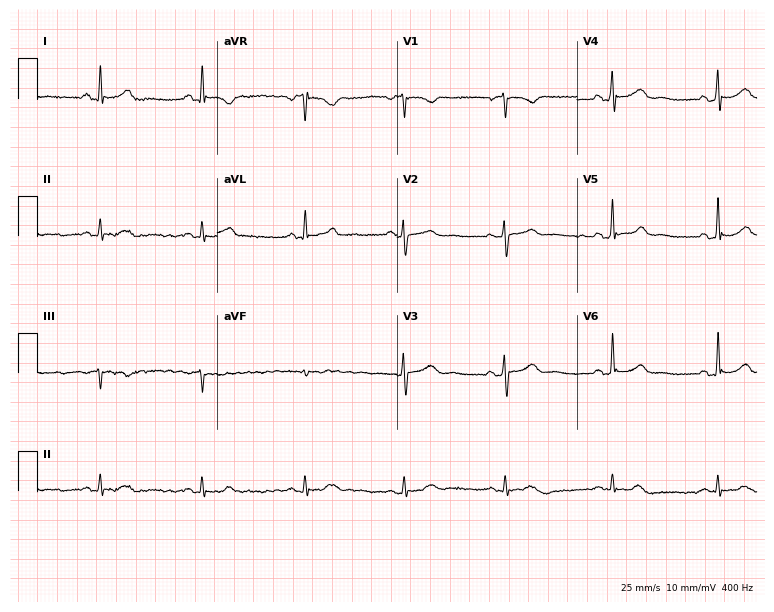
12-lead ECG from a female, 57 years old. Labelled as a normal ECG.